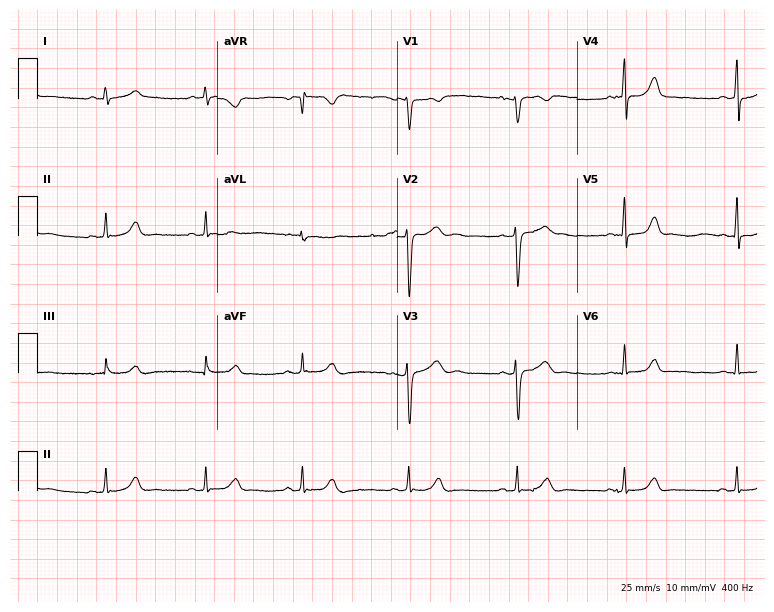
Standard 12-lead ECG recorded from a female patient, 19 years old (7.3-second recording at 400 Hz). Read as a normal ECG.